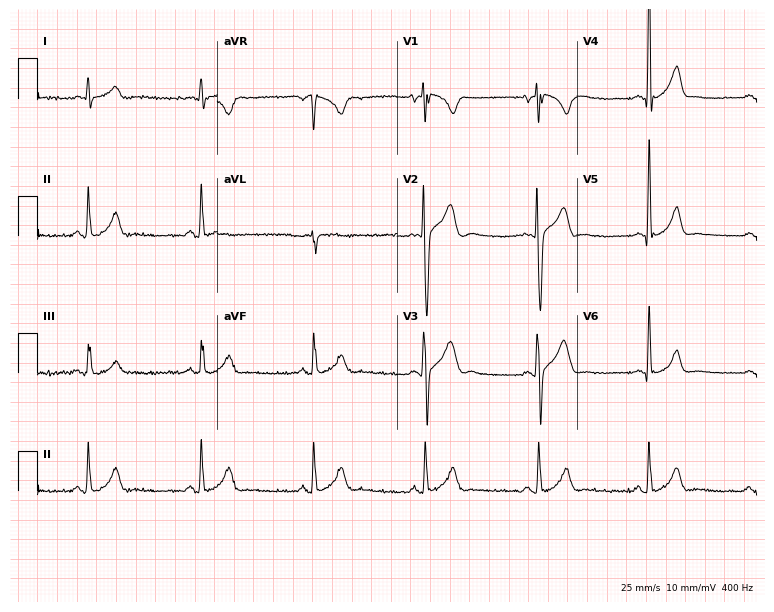
Electrocardiogram (7.3-second recording at 400 Hz), a male patient, 21 years old. Overall reading on record: normal ECG.